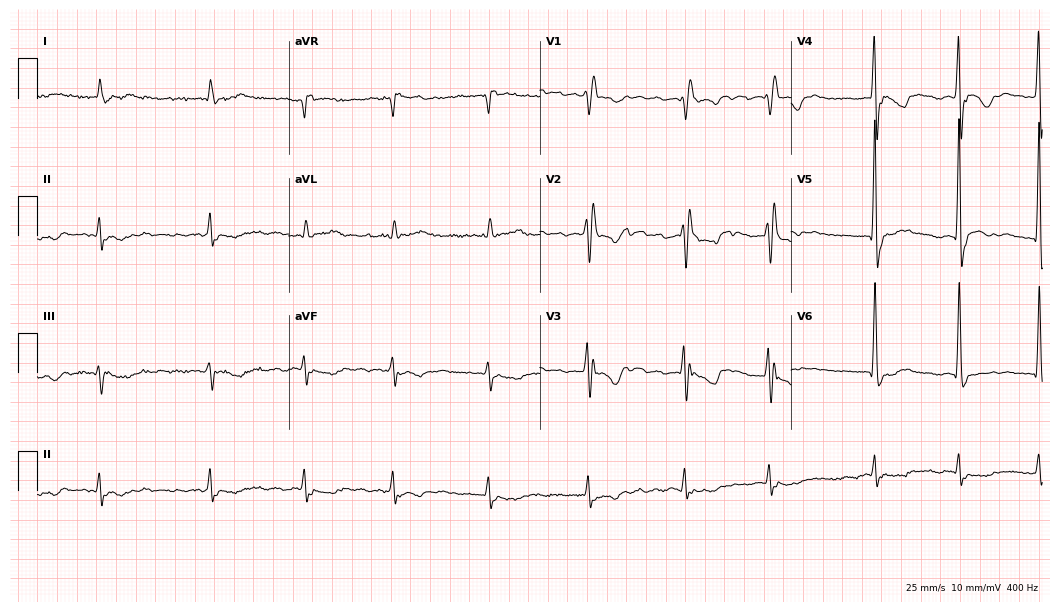
12-lead ECG from a male, 70 years old. Shows right bundle branch block, atrial fibrillation.